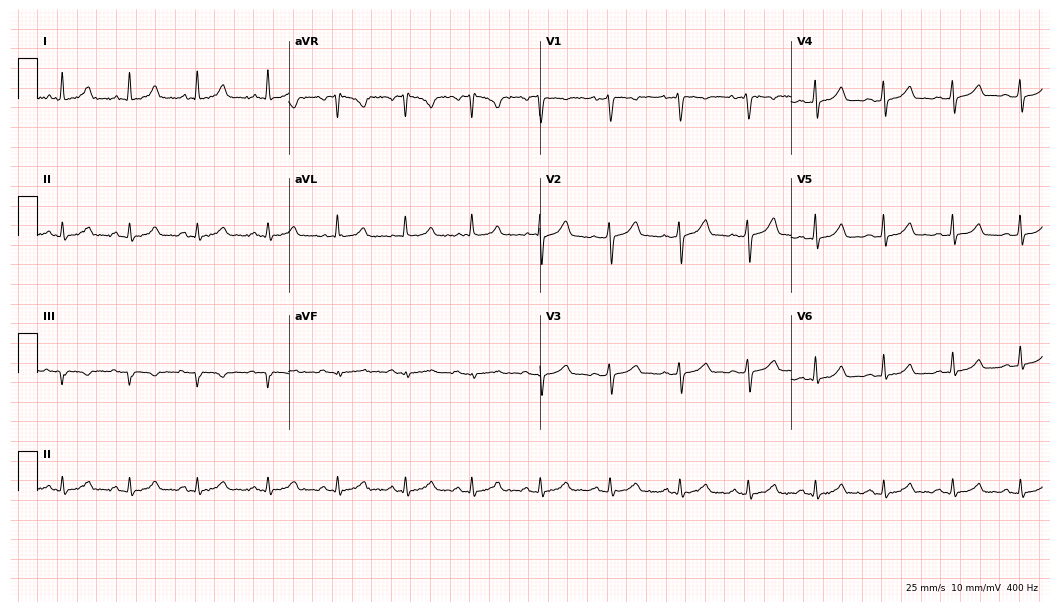
Resting 12-lead electrocardiogram (10.2-second recording at 400 Hz). Patient: a female, 40 years old. None of these six findings is recorded: first-degree AV block, right bundle branch block (RBBB), left bundle branch block (LBBB), sinus bradycardia, atrial fibrillation (AF), sinus tachycardia. Only these six findings were labelled.